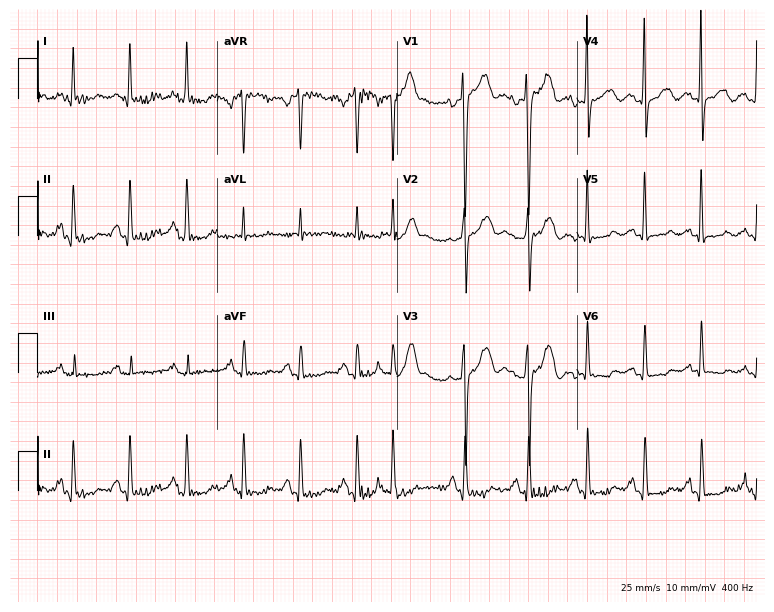
Standard 12-lead ECG recorded from a 73-year-old female patient. The tracing shows sinus tachycardia (a sinus rate of 100 beats per minute or more).